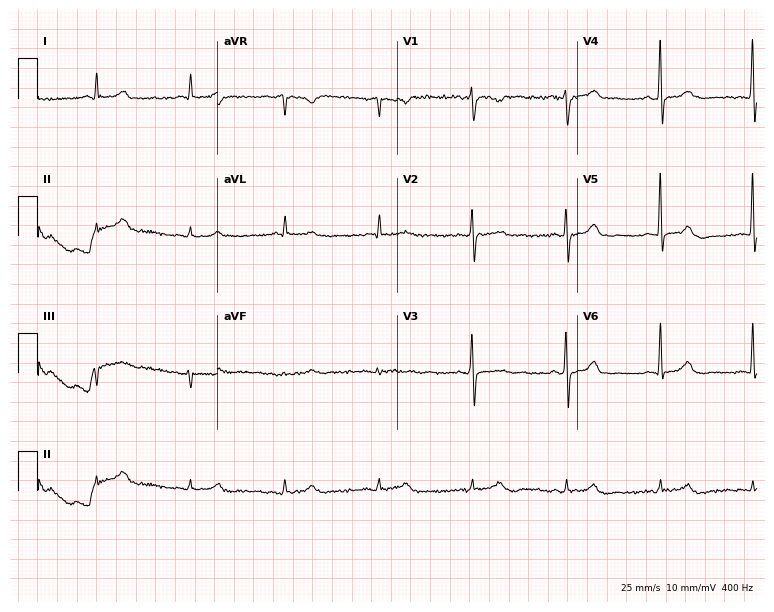
Electrocardiogram, a 77-year-old male. Overall reading on record: normal ECG.